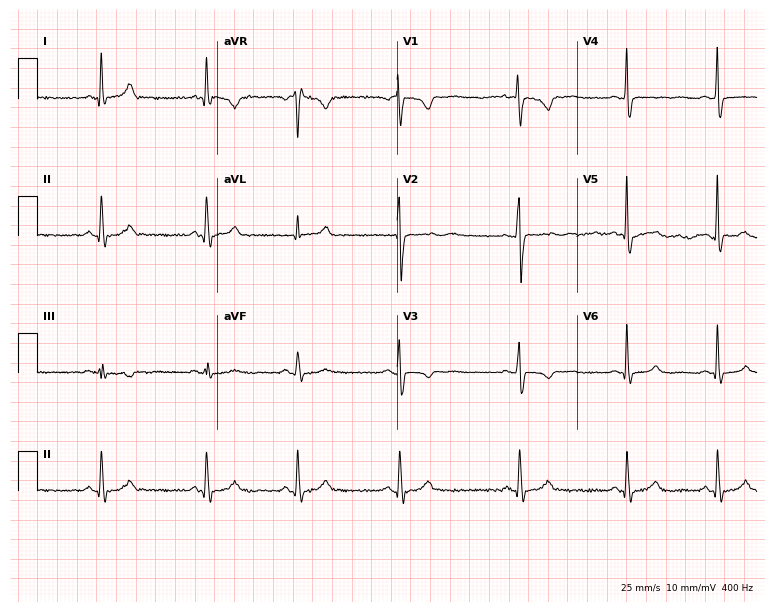
12-lead ECG from a 40-year-old woman. Labelled as a normal ECG.